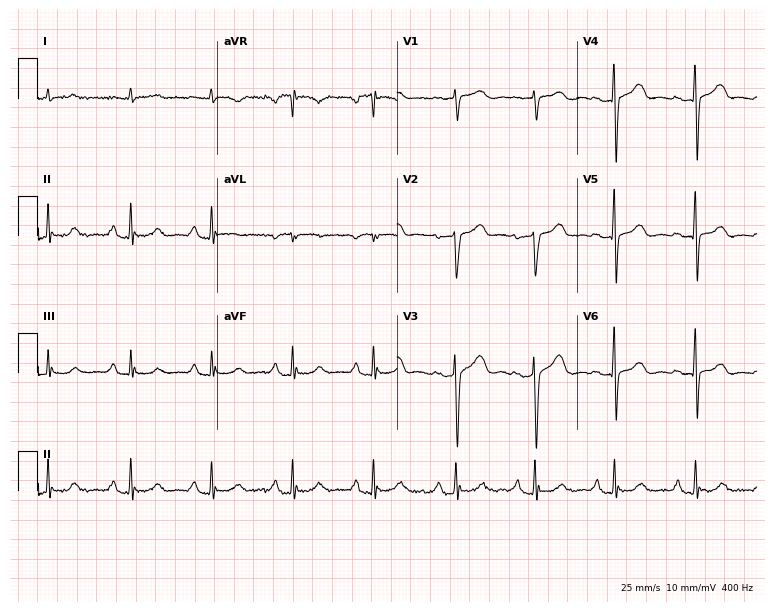
Standard 12-lead ECG recorded from a 70-year-old male patient (7.3-second recording at 400 Hz). None of these six findings is recorded: first-degree AV block, right bundle branch block (RBBB), left bundle branch block (LBBB), sinus bradycardia, atrial fibrillation (AF), sinus tachycardia. Only these six findings were labelled.